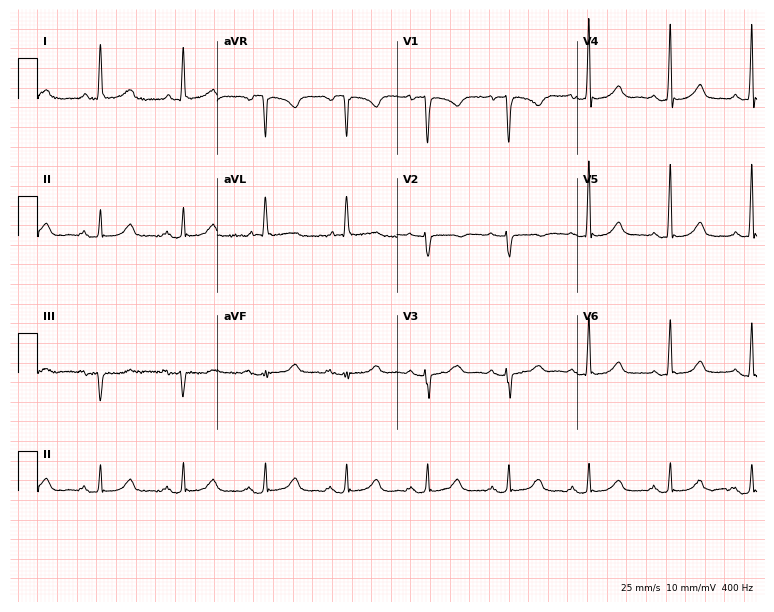
Standard 12-lead ECG recorded from a woman, 76 years old (7.3-second recording at 400 Hz). Read as a normal ECG.